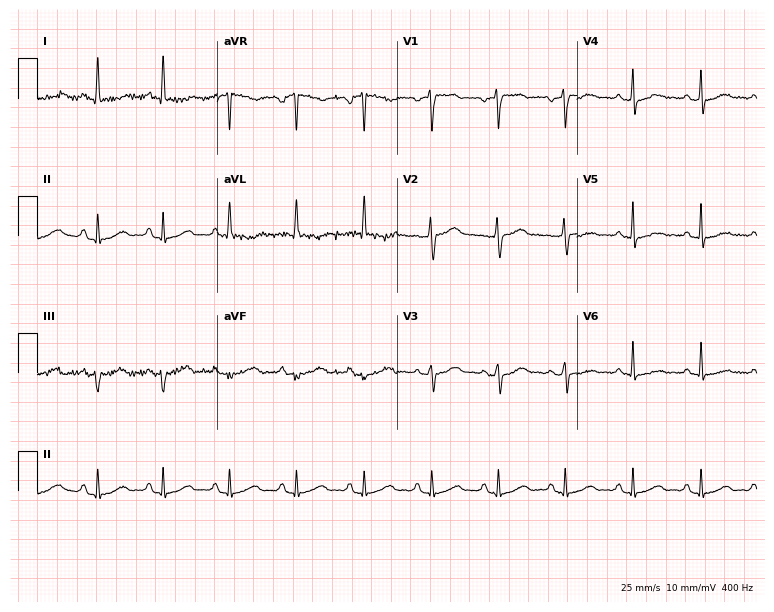
12-lead ECG from a 51-year-old female (7.3-second recording at 400 Hz). No first-degree AV block, right bundle branch block (RBBB), left bundle branch block (LBBB), sinus bradycardia, atrial fibrillation (AF) or sinus tachycardia recorded for this tracing. Findings outside these six are not listed.